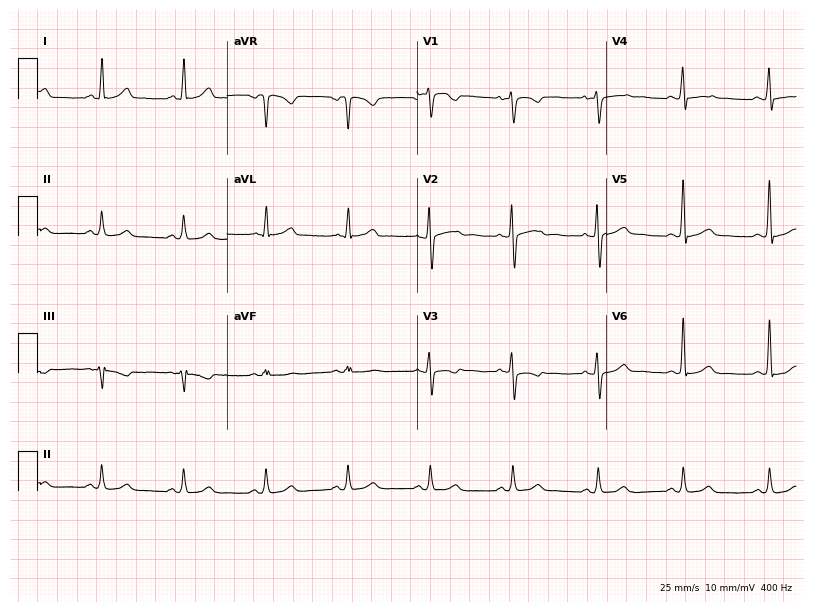
Resting 12-lead electrocardiogram. Patient: a female, 47 years old. Read as a normal ECG.